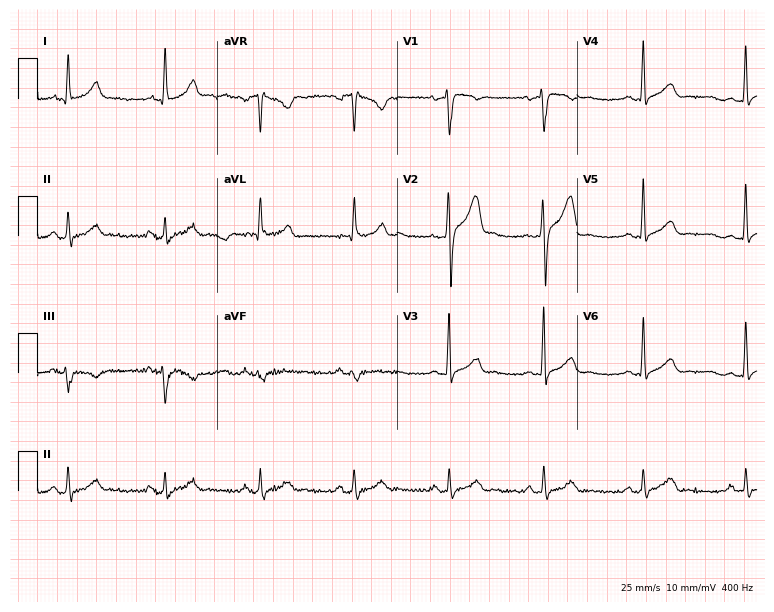
ECG (7.3-second recording at 400 Hz) — a male, 32 years old. Screened for six findings — first-degree AV block, right bundle branch block, left bundle branch block, sinus bradycardia, atrial fibrillation, sinus tachycardia — none is recorded. Only these six findings were labelled.